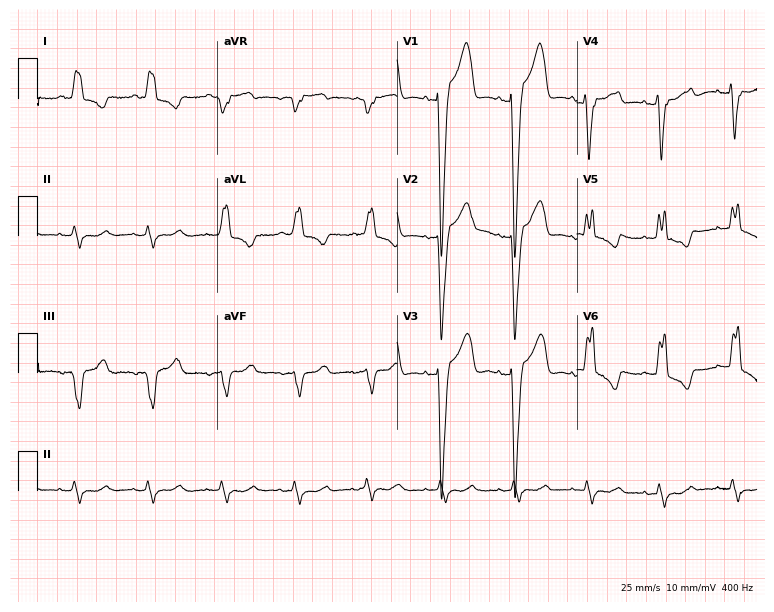
Electrocardiogram (7.3-second recording at 400 Hz), a woman, 74 years old. Interpretation includes left bundle branch block (LBBB).